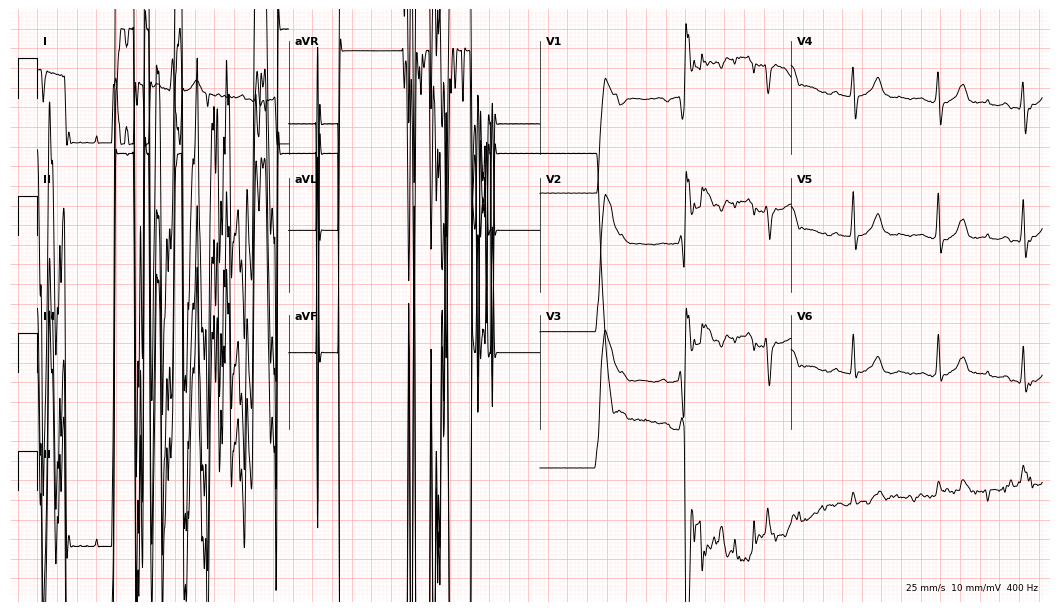
12-lead ECG from a male patient, 76 years old. Screened for six findings — first-degree AV block, right bundle branch block, left bundle branch block, sinus bradycardia, atrial fibrillation, sinus tachycardia — none is recorded.